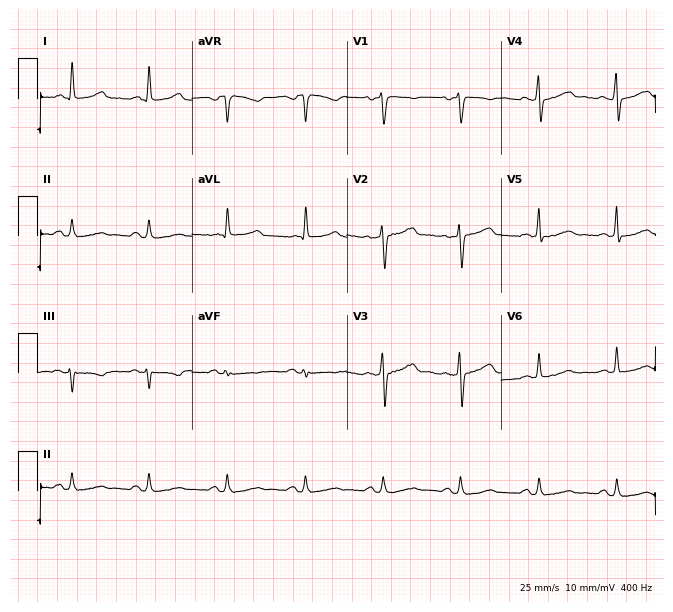
Resting 12-lead electrocardiogram. Patient: a female, 43 years old. None of these six findings is recorded: first-degree AV block, right bundle branch block, left bundle branch block, sinus bradycardia, atrial fibrillation, sinus tachycardia.